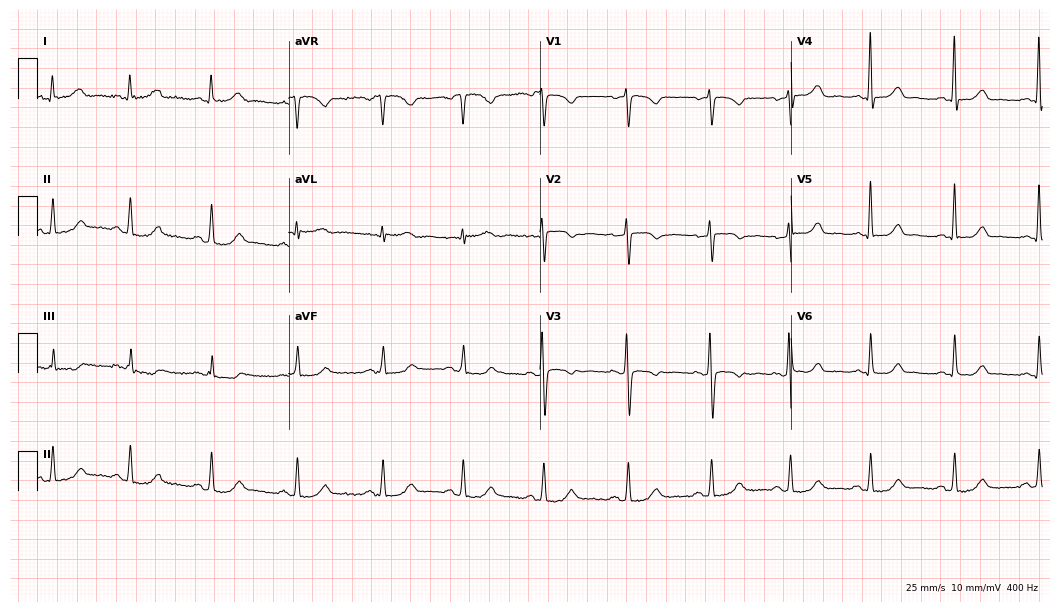
Standard 12-lead ECG recorded from a 45-year-old female (10.2-second recording at 400 Hz). None of these six findings is recorded: first-degree AV block, right bundle branch block (RBBB), left bundle branch block (LBBB), sinus bradycardia, atrial fibrillation (AF), sinus tachycardia.